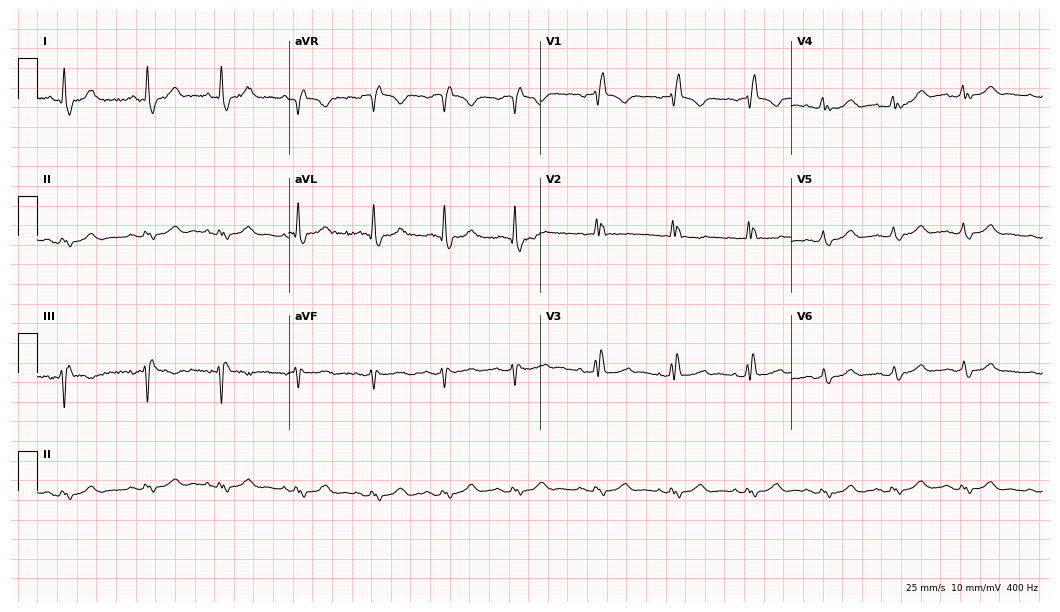
Electrocardiogram (10.2-second recording at 400 Hz), a female, 70 years old. Interpretation includes right bundle branch block.